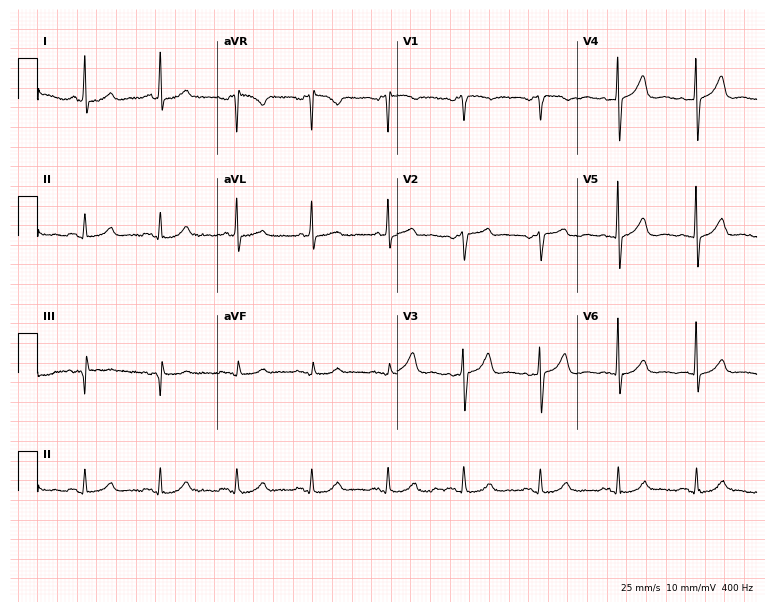
Resting 12-lead electrocardiogram. Patient: a female, 69 years old. None of these six findings is recorded: first-degree AV block, right bundle branch block, left bundle branch block, sinus bradycardia, atrial fibrillation, sinus tachycardia. Findings outside these six are not listed.